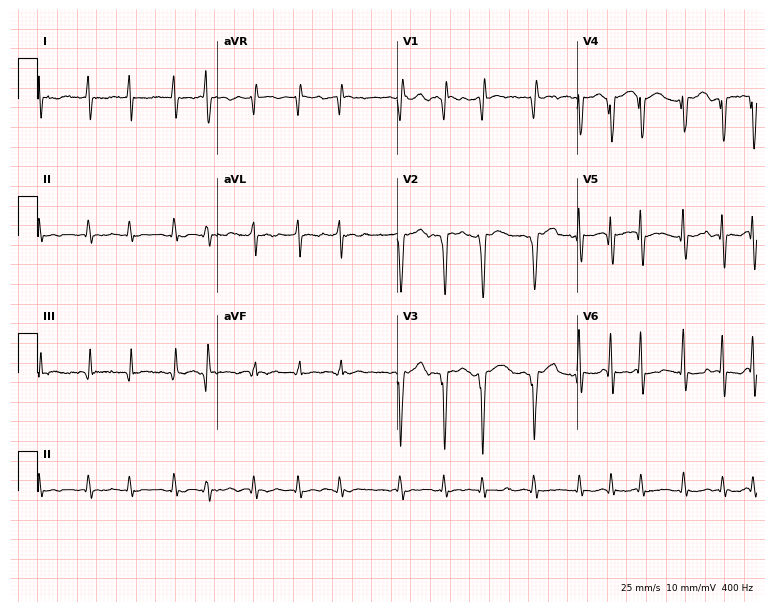
Standard 12-lead ECG recorded from a 55-year-old male patient. The tracing shows atrial fibrillation.